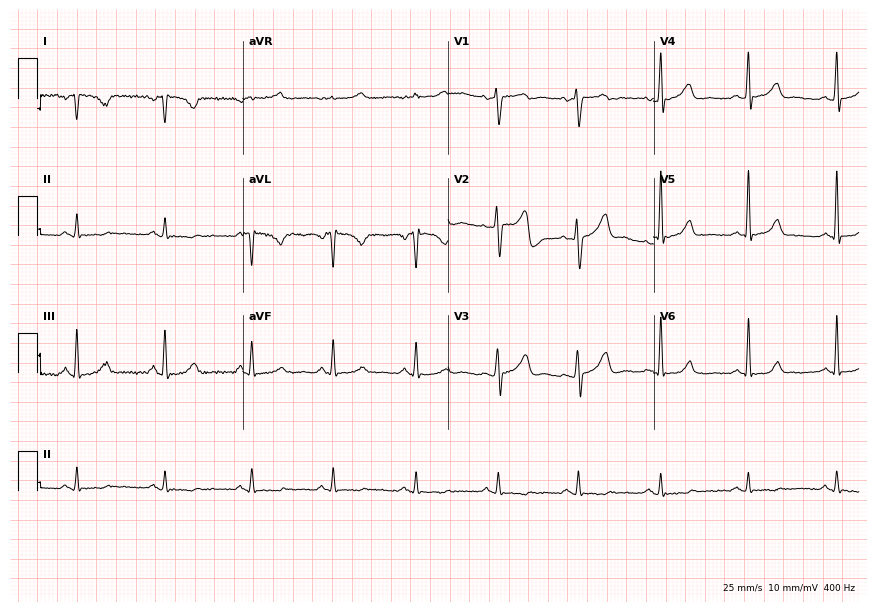
Electrocardiogram, a 46-year-old female. Of the six screened findings (first-degree AV block, right bundle branch block, left bundle branch block, sinus bradycardia, atrial fibrillation, sinus tachycardia), none is recorded. Only these six findings were labelled.